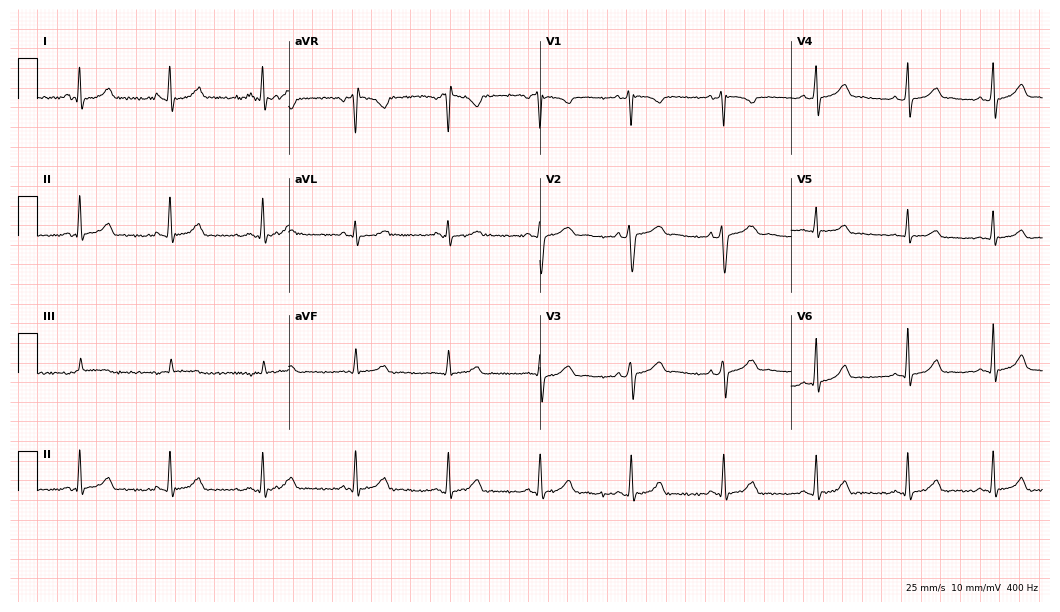
Electrocardiogram (10.2-second recording at 400 Hz), a woman, 17 years old. Overall reading on record: normal ECG.